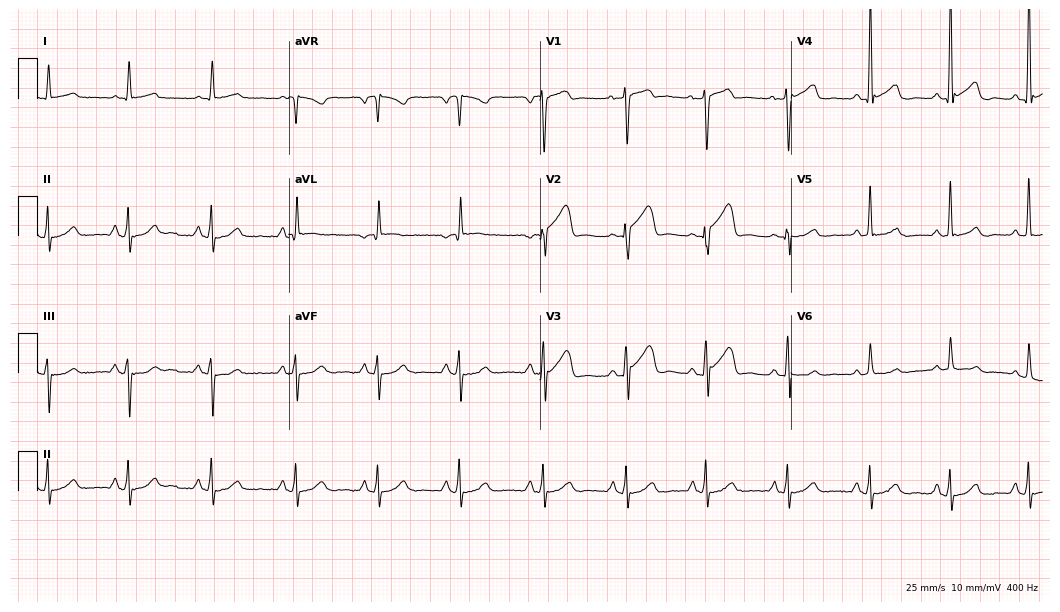
Electrocardiogram (10.2-second recording at 400 Hz), a 59-year-old man. Of the six screened findings (first-degree AV block, right bundle branch block, left bundle branch block, sinus bradycardia, atrial fibrillation, sinus tachycardia), none is recorded. Findings outside these six are not listed.